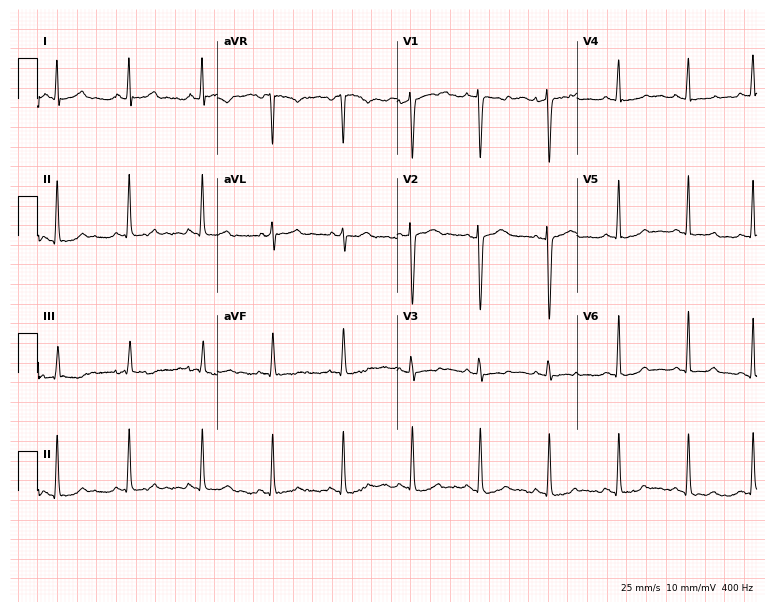
Electrocardiogram, a female, 30 years old. Overall reading on record: normal ECG.